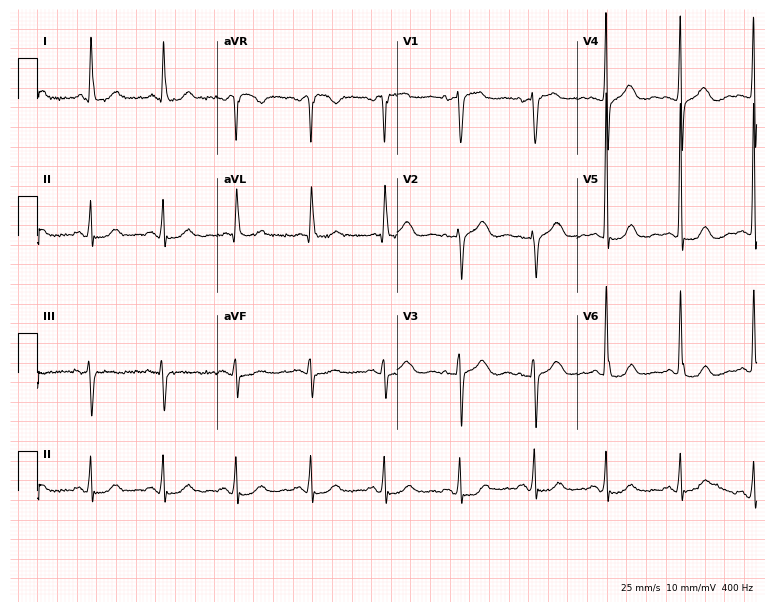
Standard 12-lead ECG recorded from a female, 85 years old (7.3-second recording at 400 Hz). None of these six findings is recorded: first-degree AV block, right bundle branch block (RBBB), left bundle branch block (LBBB), sinus bradycardia, atrial fibrillation (AF), sinus tachycardia. Only these six findings were labelled.